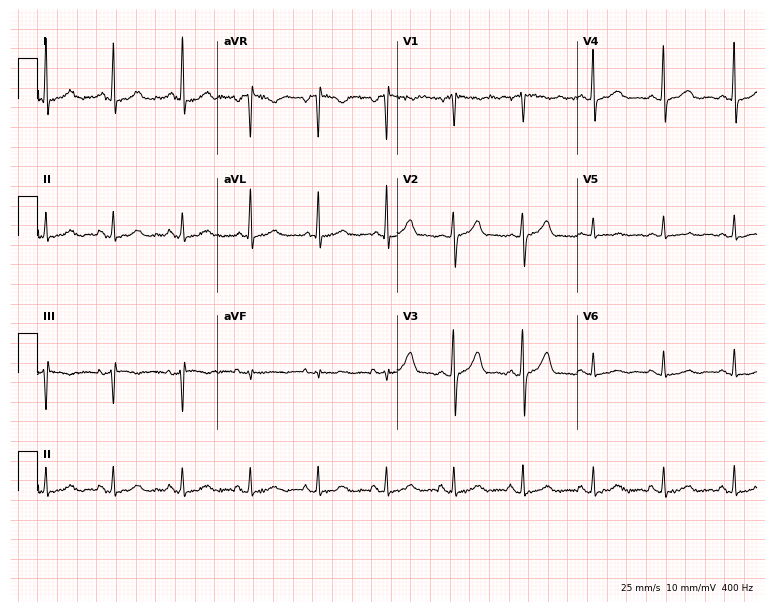
Resting 12-lead electrocardiogram (7.3-second recording at 400 Hz). Patient: a female, 54 years old. None of these six findings is recorded: first-degree AV block, right bundle branch block, left bundle branch block, sinus bradycardia, atrial fibrillation, sinus tachycardia.